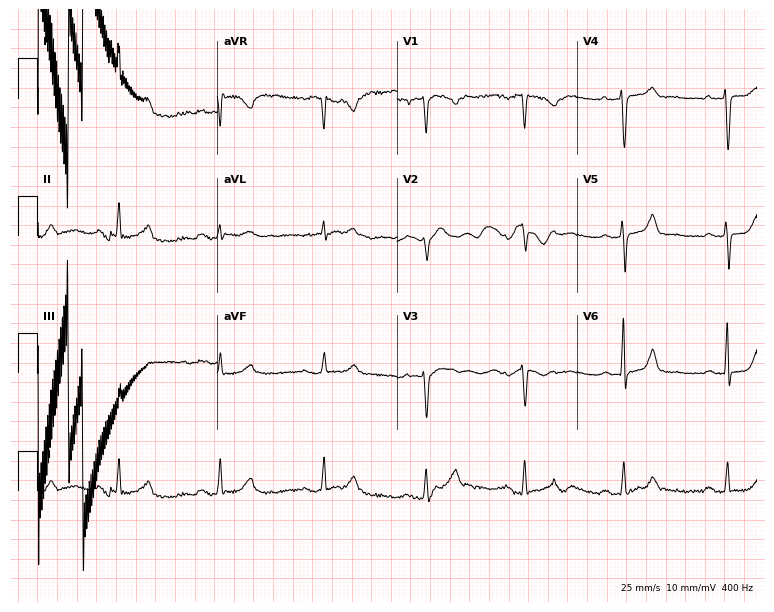
Electrocardiogram (7.3-second recording at 400 Hz), a woman, 71 years old. Overall reading on record: normal ECG.